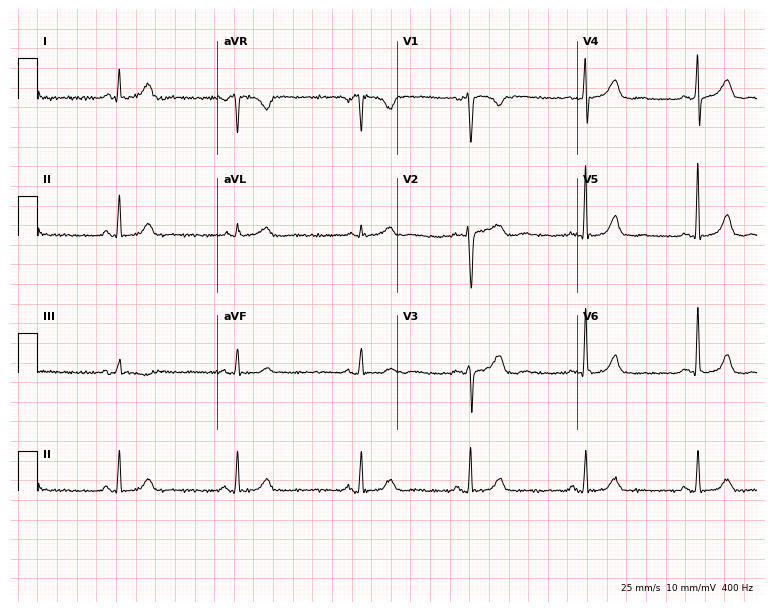
12-lead ECG (7.3-second recording at 400 Hz) from a 39-year-old female patient. Screened for six findings — first-degree AV block, right bundle branch block (RBBB), left bundle branch block (LBBB), sinus bradycardia, atrial fibrillation (AF), sinus tachycardia — none is recorded.